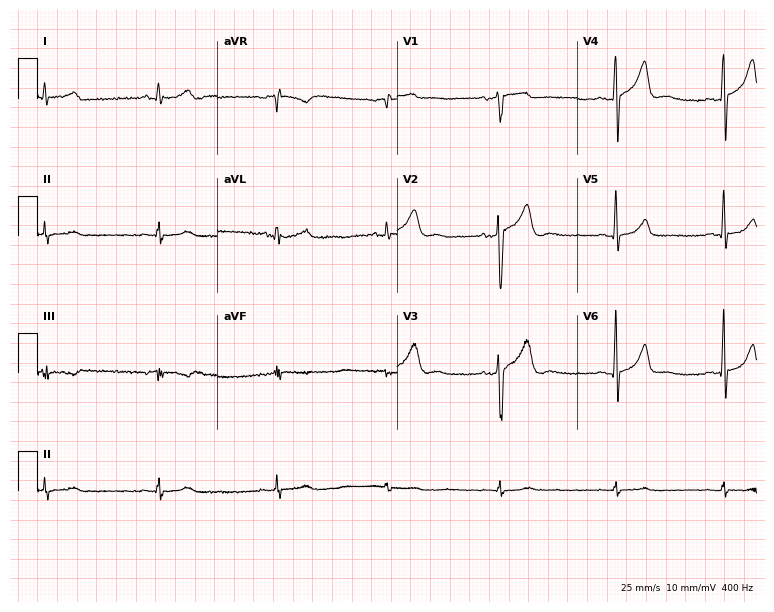
ECG (7.3-second recording at 400 Hz) — a man, 37 years old. Screened for six findings — first-degree AV block, right bundle branch block, left bundle branch block, sinus bradycardia, atrial fibrillation, sinus tachycardia — none is recorded.